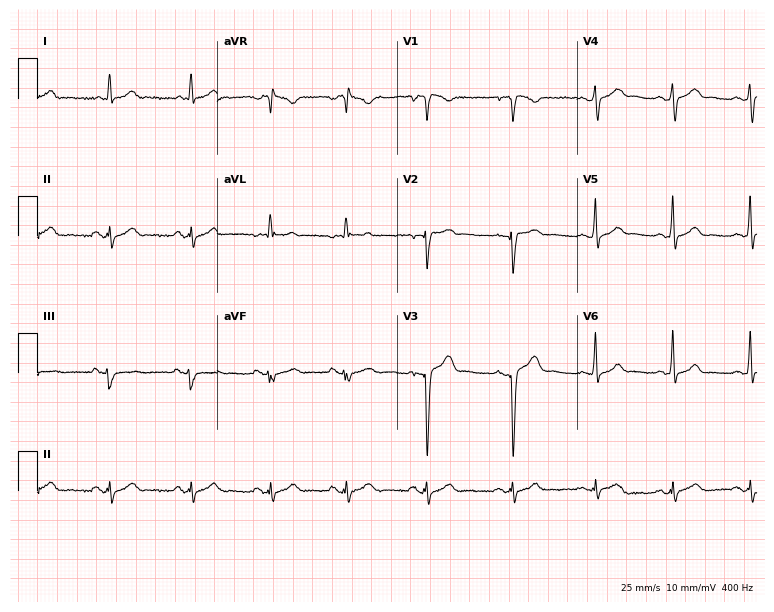
12-lead ECG from a 25-year-old male (7.3-second recording at 400 Hz). No first-degree AV block, right bundle branch block (RBBB), left bundle branch block (LBBB), sinus bradycardia, atrial fibrillation (AF) or sinus tachycardia recorded for this tracing. Other findings, if any, are not listed.